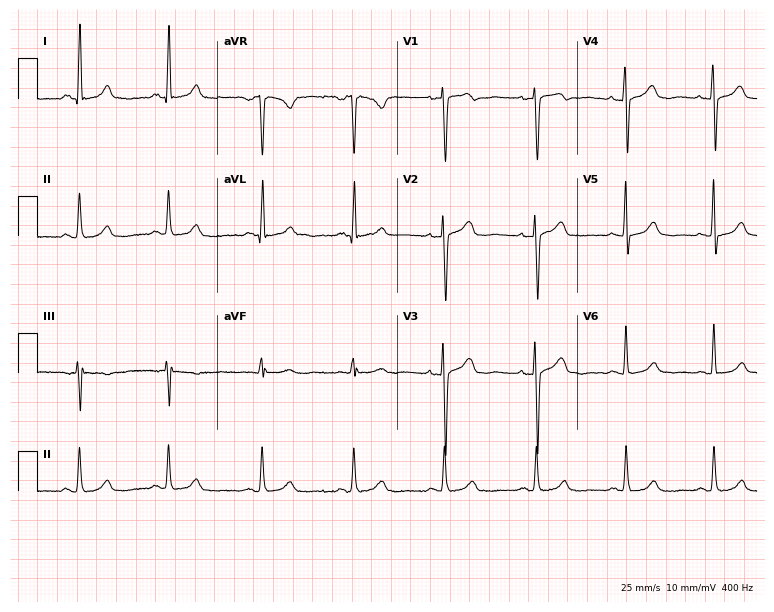
12-lead ECG from a 50-year-old female (7.3-second recording at 400 Hz). Recorded interpretation: within normal limits.